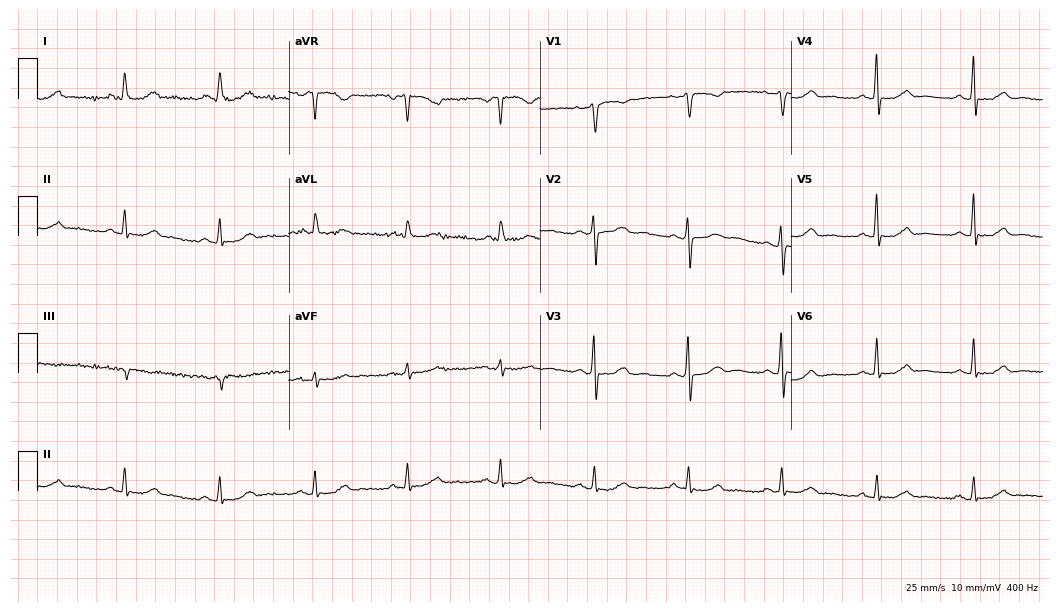
ECG — a female, 62 years old. Screened for six findings — first-degree AV block, right bundle branch block (RBBB), left bundle branch block (LBBB), sinus bradycardia, atrial fibrillation (AF), sinus tachycardia — none is recorded.